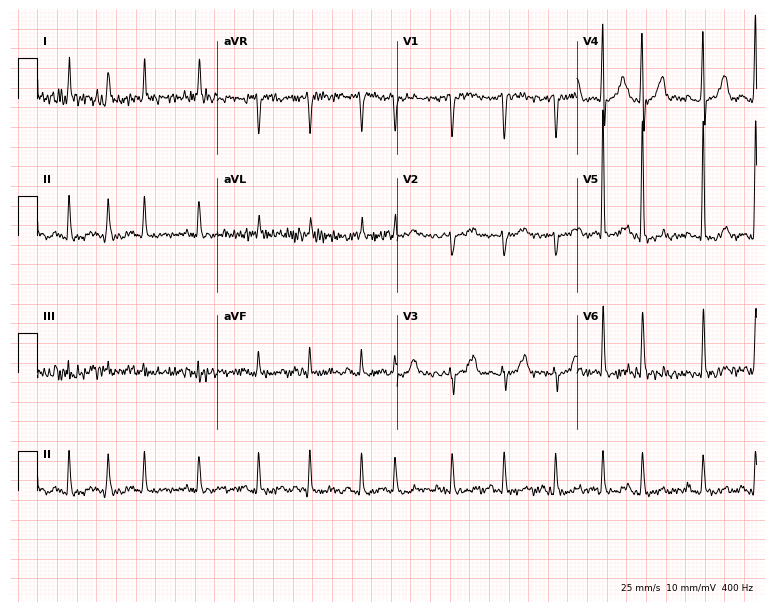
Resting 12-lead electrocardiogram (7.3-second recording at 400 Hz). Patient: a woman, 78 years old. None of these six findings is recorded: first-degree AV block, right bundle branch block (RBBB), left bundle branch block (LBBB), sinus bradycardia, atrial fibrillation (AF), sinus tachycardia. Only these six findings were labelled.